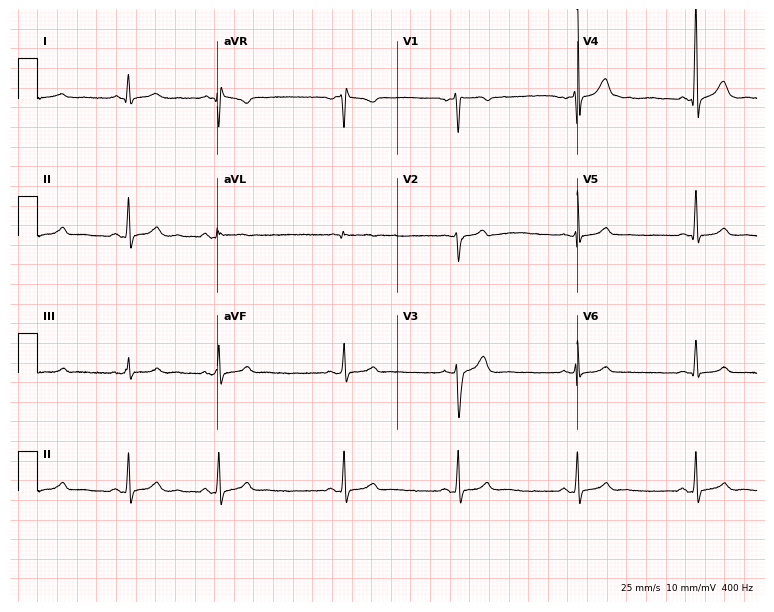
Resting 12-lead electrocardiogram (7.3-second recording at 400 Hz). Patient: a 23-year-old female. Read as a normal ECG.